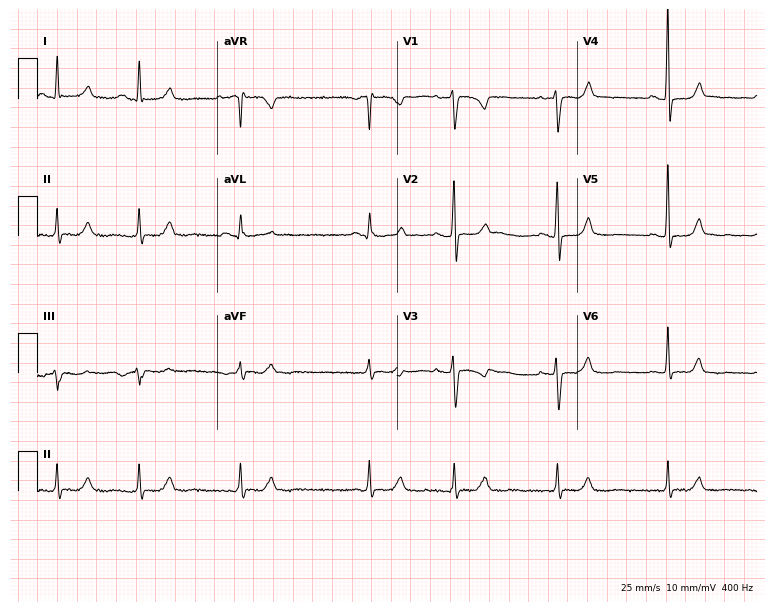
Standard 12-lead ECG recorded from a 56-year-old woman (7.3-second recording at 400 Hz). Read as a normal ECG.